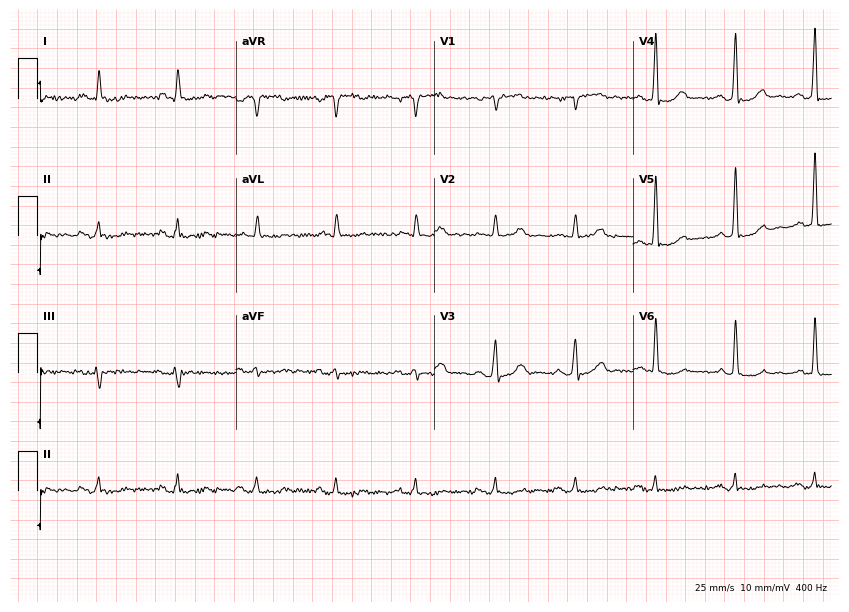
12-lead ECG (8.1-second recording at 400 Hz) from a man, 82 years old. Screened for six findings — first-degree AV block, right bundle branch block, left bundle branch block, sinus bradycardia, atrial fibrillation, sinus tachycardia — none is recorded. Findings outside these six are not listed.